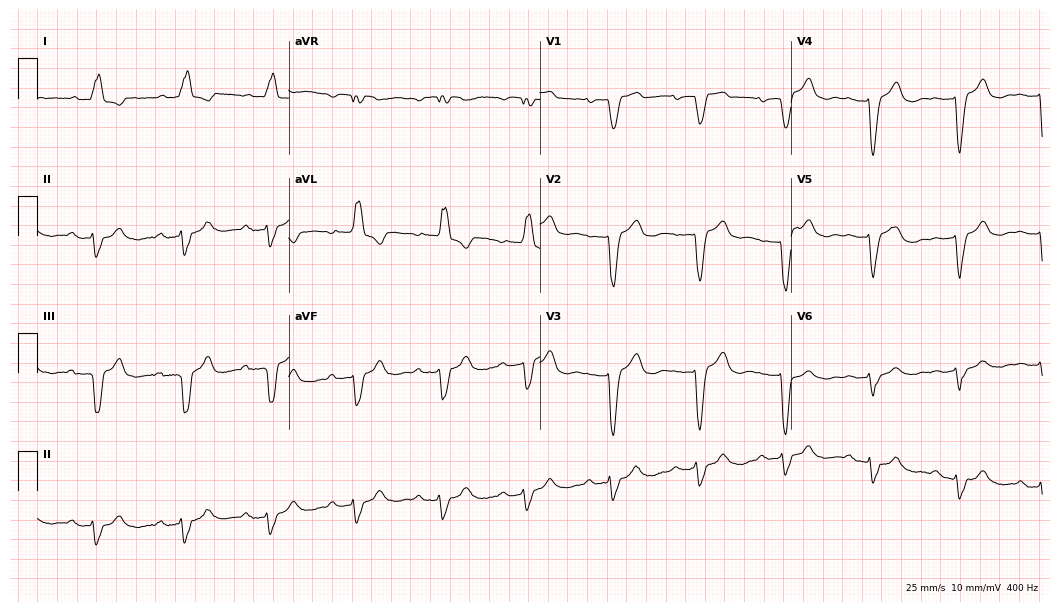
12-lead ECG from an 84-year-old female. Findings include left bundle branch block.